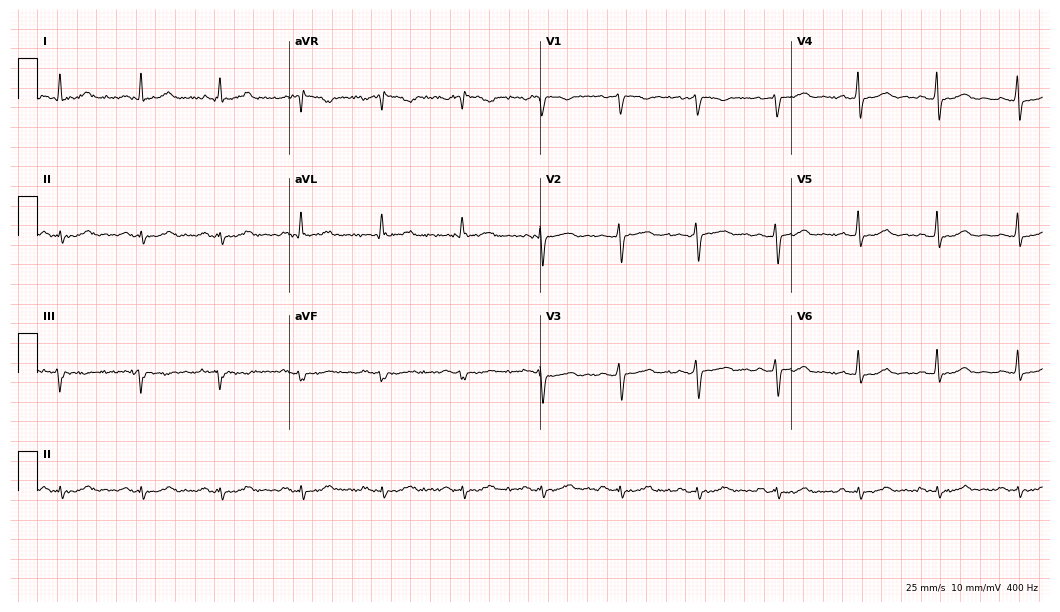
ECG — a woman, 50 years old. Screened for six findings — first-degree AV block, right bundle branch block, left bundle branch block, sinus bradycardia, atrial fibrillation, sinus tachycardia — none is recorded. Only these six findings were labelled.